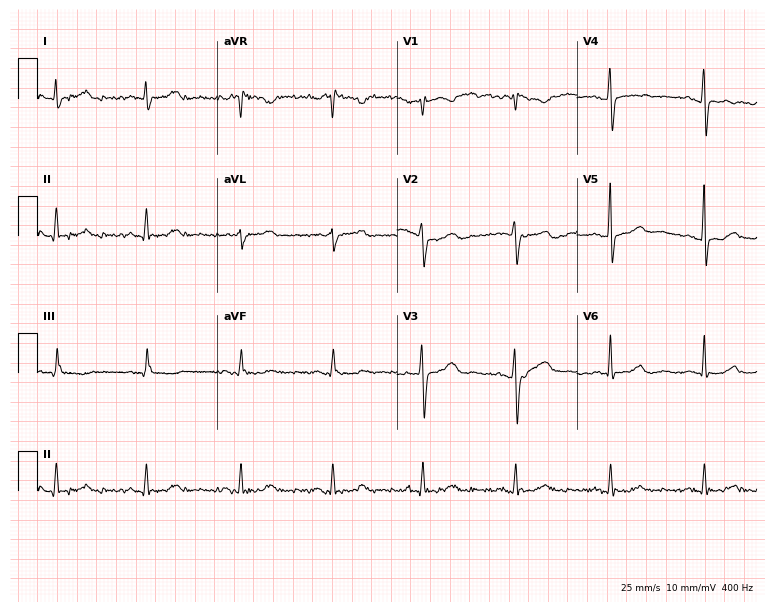
12-lead ECG from a female, 56 years old (7.3-second recording at 400 Hz). No first-degree AV block, right bundle branch block (RBBB), left bundle branch block (LBBB), sinus bradycardia, atrial fibrillation (AF) or sinus tachycardia recorded for this tracing. Findings outside these six are not listed.